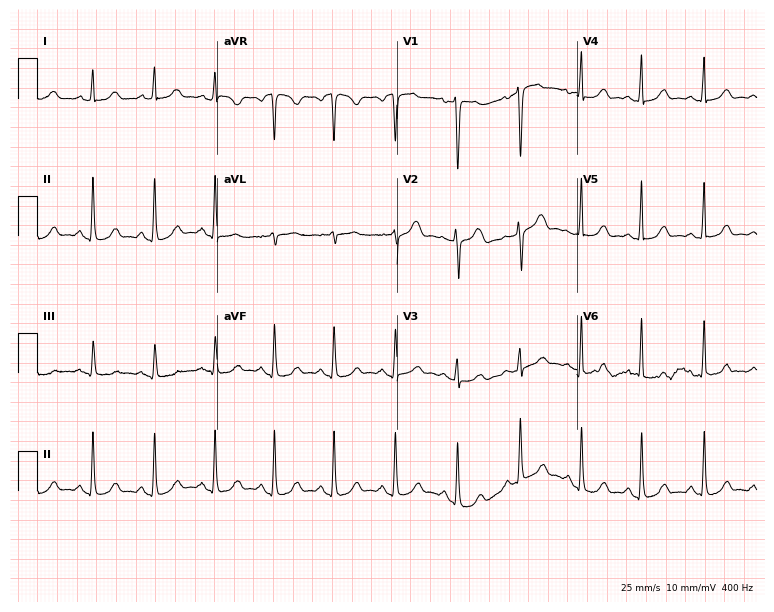
Standard 12-lead ECG recorded from a female patient, 40 years old. Read as a normal ECG.